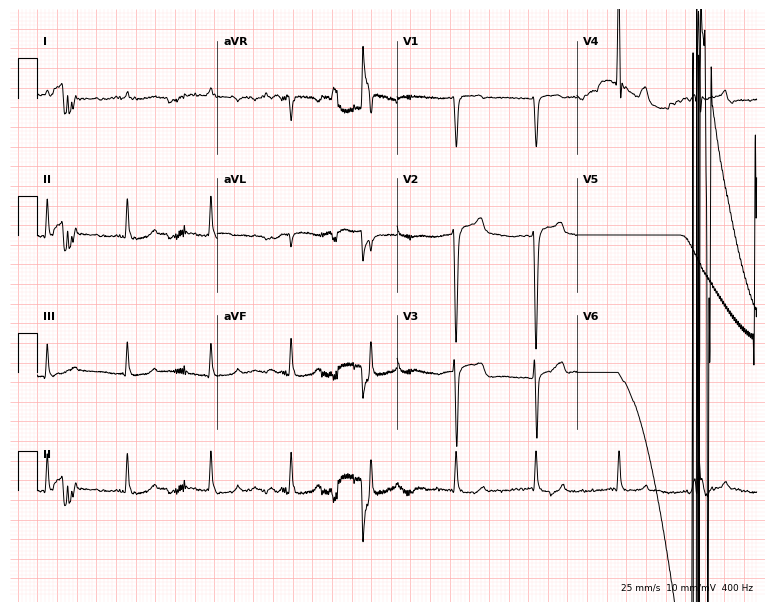
Resting 12-lead electrocardiogram. Patient: a female, 80 years old. None of these six findings is recorded: first-degree AV block, right bundle branch block (RBBB), left bundle branch block (LBBB), sinus bradycardia, atrial fibrillation (AF), sinus tachycardia.